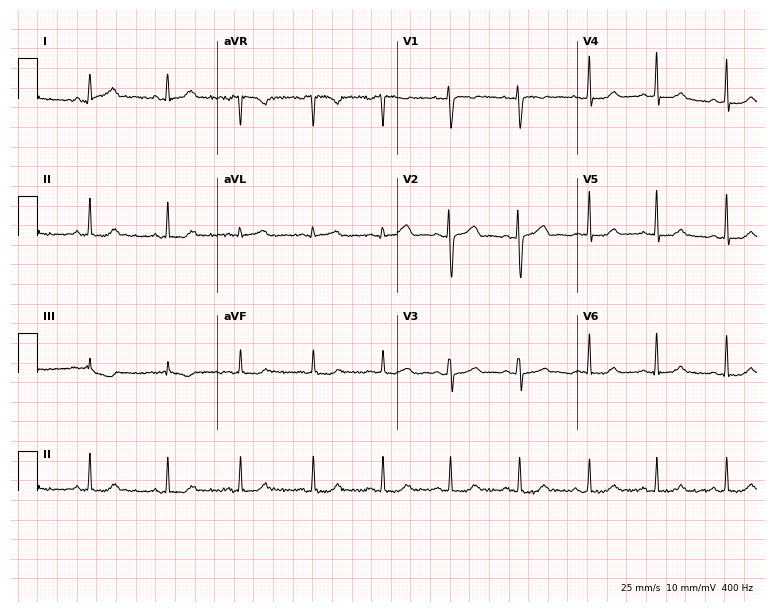
ECG — a woman, 30 years old. Labelled as a normal ECG.